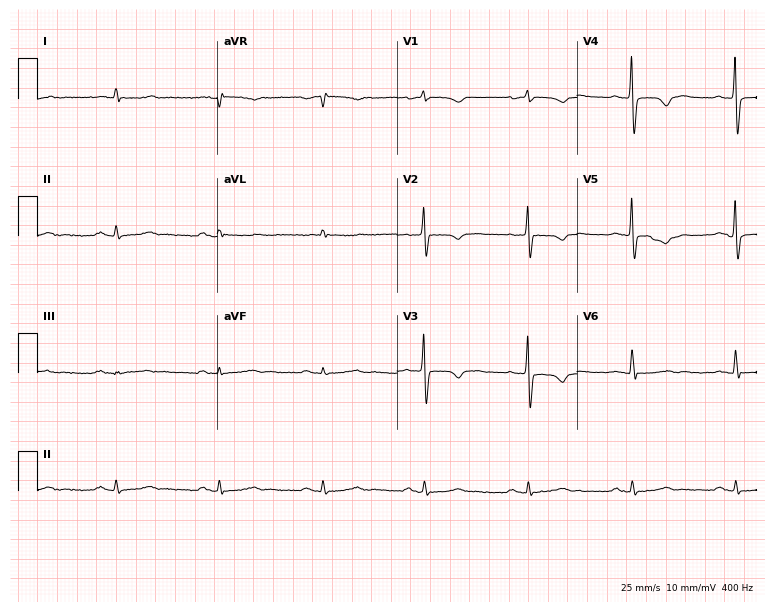
Resting 12-lead electrocardiogram (7.3-second recording at 400 Hz). Patient: a female, 83 years old. None of these six findings is recorded: first-degree AV block, right bundle branch block, left bundle branch block, sinus bradycardia, atrial fibrillation, sinus tachycardia. Only these six findings were labelled.